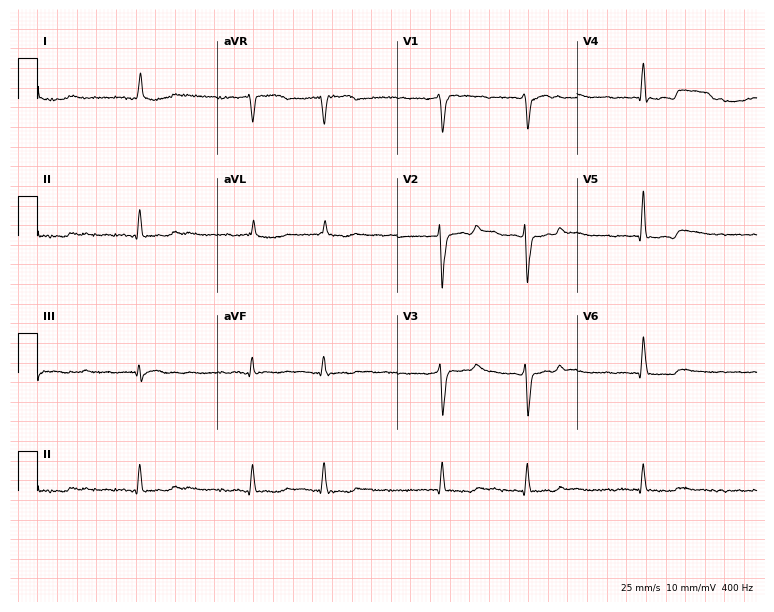
12-lead ECG from a 63-year-old female. Shows atrial fibrillation.